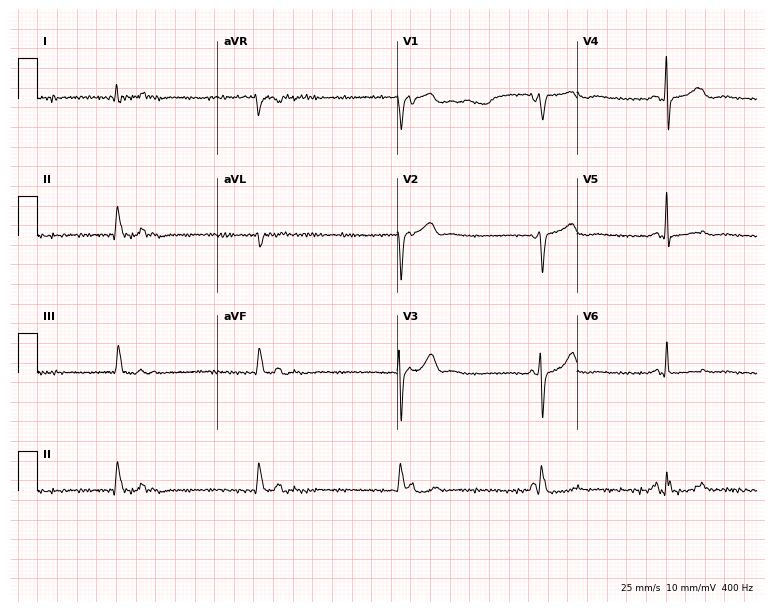
Resting 12-lead electrocardiogram (7.3-second recording at 400 Hz). Patient: a female, 62 years old. None of these six findings is recorded: first-degree AV block, right bundle branch block, left bundle branch block, sinus bradycardia, atrial fibrillation, sinus tachycardia. Other findings, if any, are not listed.